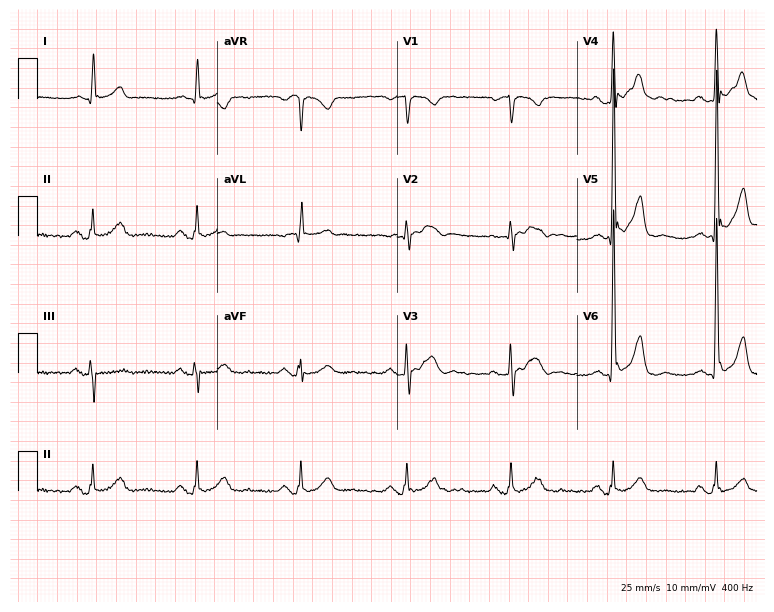
12-lead ECG from a 77-year-old male patient (7.3-second recording at 400 Hz). No first-degree AV block, right bundle branch block (RBBB), left bundle branch block (LBBB), sinus bradycardia, atrial fibrillation (AF) or sinus tachycardia recorded for this tracing.